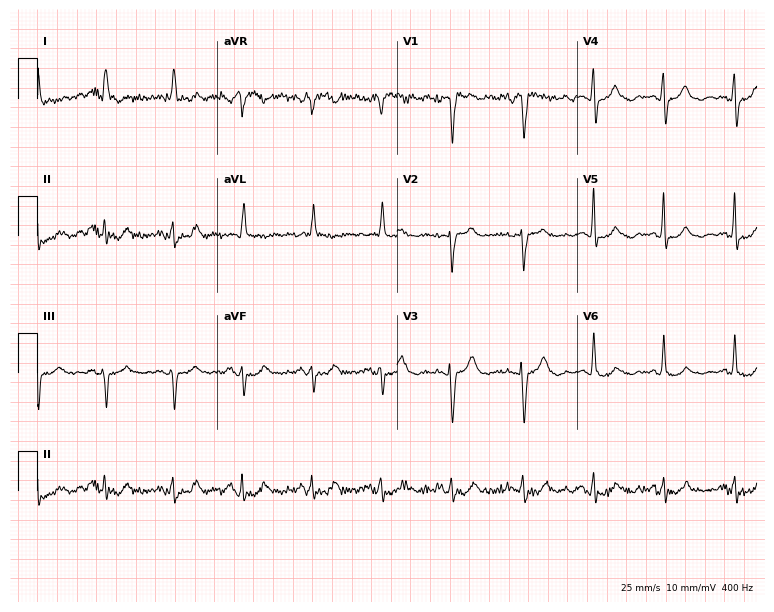
ECG (7.3-second recording at 400 Hz) — an 83-year-old woman. Screened for six findings — first-degree AV block, right bundle branch block (RBBB), left bundle branch block (LBBB), sinus bradycardia, atrial fibrillation (AF), sinus tachycardia — none is recorded.